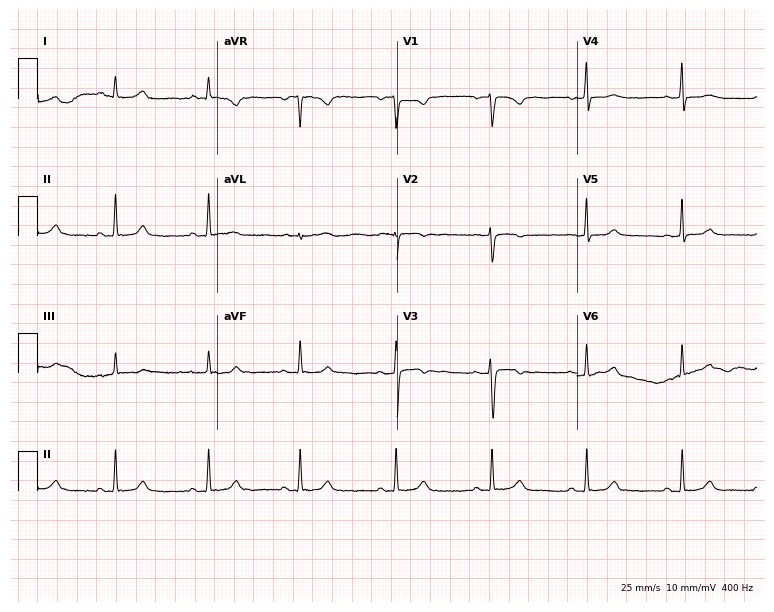
ECG — a 32-year-old woman. Screened for six findings — first-degree AV block, right bundle branch block, left bundle branch block, sinus bradycardia, atrial fibrillation, sinus tachycardia — none is recorded. Other findings, if any, are not listed.